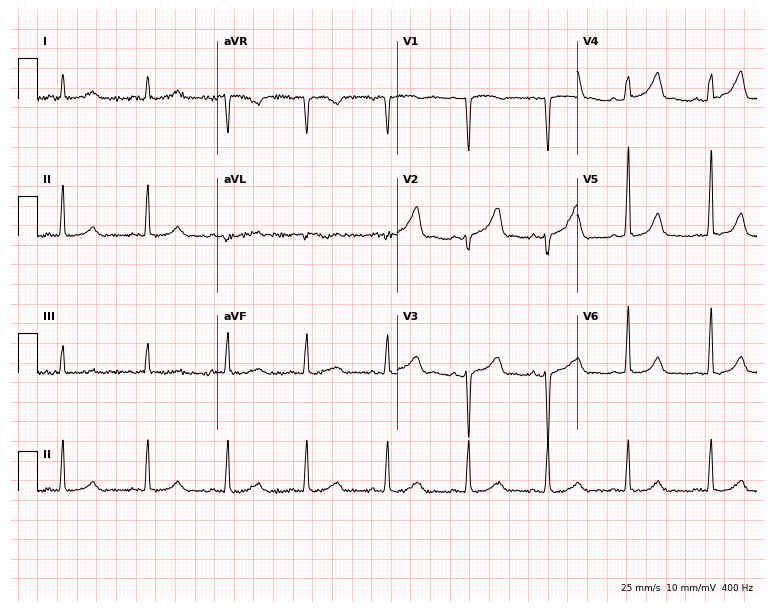
Standard 12-lead ECG recorded from a female patient, 39 years old (7.3-second recording at 400 Hz). Read as a normal ECG.